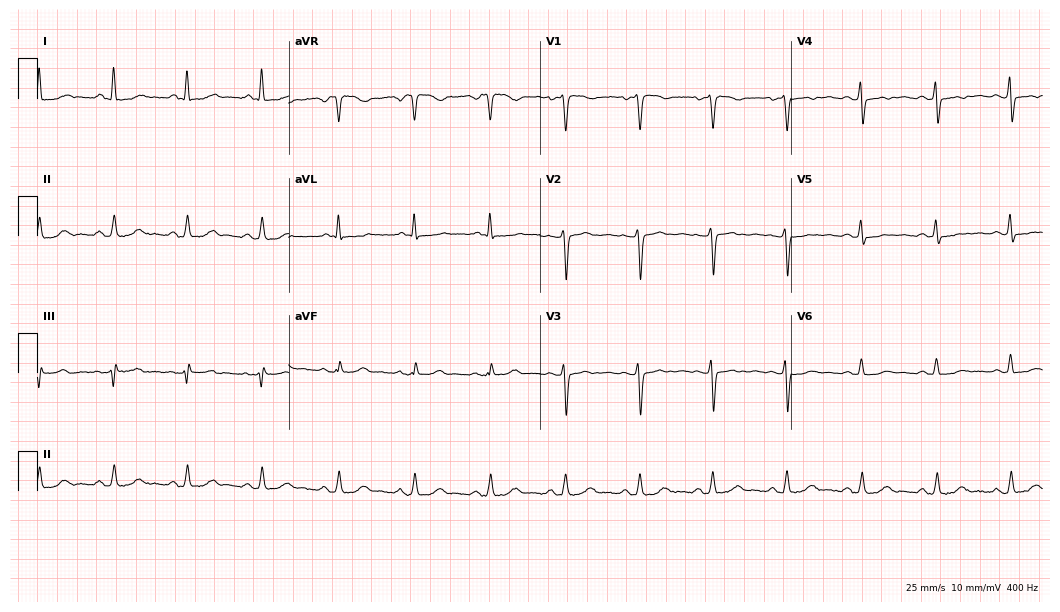
12-lead ECG (10.2-second recording at 400 Hz) from a female patient, 50 years old. Screened for six findings — first-degree AV block, right bundle branch block, left bundle branch block, sinus bradycardia, atrial fibrillation, sinus tachycardia — none is recorded.